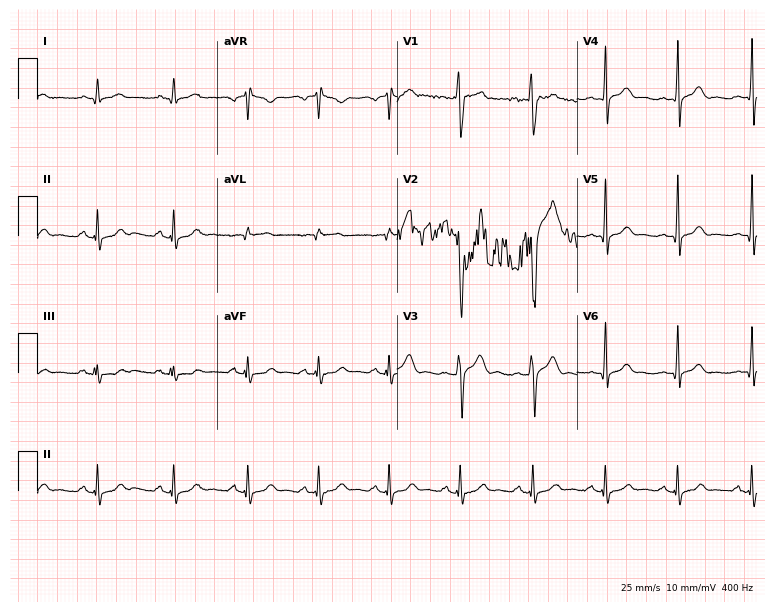
12-lead ECG from a 25-year-old male patient. No first-degree AV block, right bundle branch block (RBBB), left bundle branch block (LBBB), sinus bradycardia, atrial fibrillation (AF) or sinus tachycardia recorded for this tracing. Only these six findings were labelled.